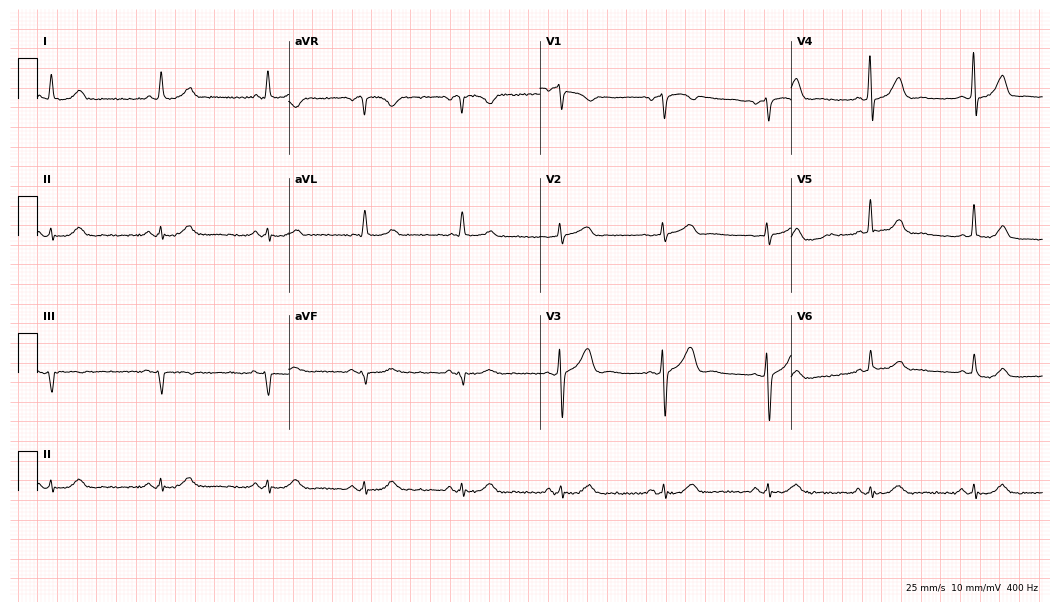
12-lead ECG from a 79-year-old male (10.2-second recording at 400 Hz). Recorded interpretation: within normal limits.